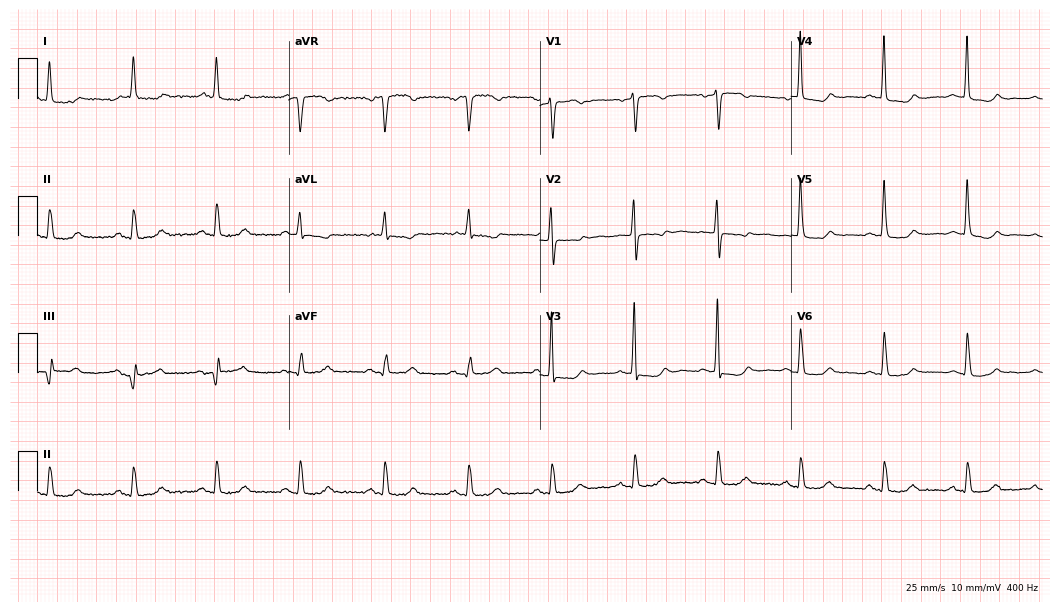
ECG (10.2-second recording at 400 Hz) — a 77-year-old woman. Screened for six findings — first-degree AV block, right bundle branch block (RBBB), left bundle branch block (LBBB), sinus bradycardia, atrial fibrillation (AF), sinus tachycardia — none is recorded. Other findings, if any, are not listed.